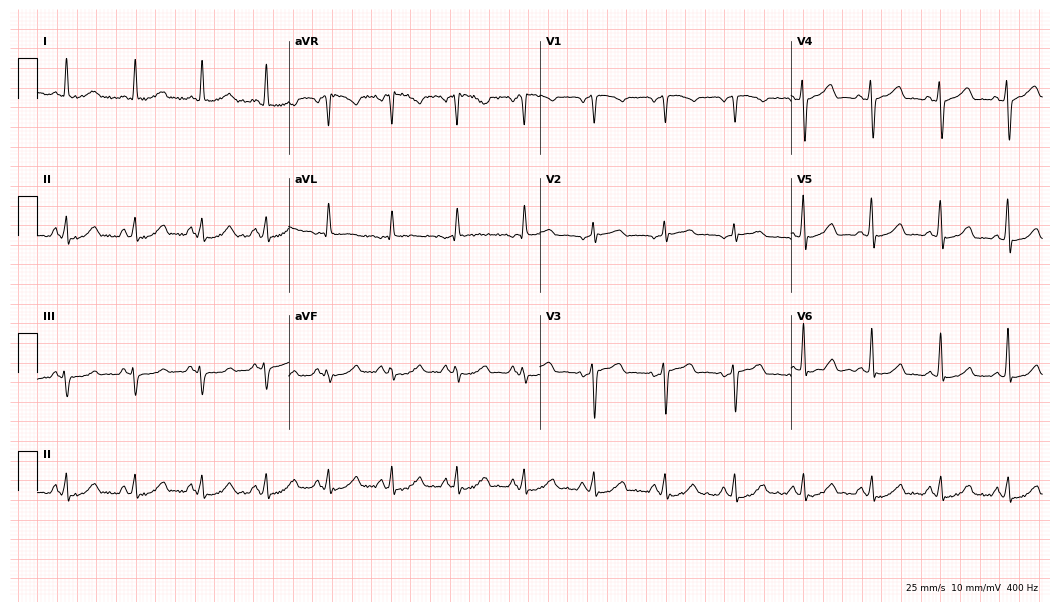
Standard 12-lead ECG recorded from a 48-year-old woman (10.2-second recording at 400 Hz). None of these six findings is recorded: first-degree AV block, right bundle branch block, left bundle branch block, sinus bradycardia, atrial fibrillation, sinus tachycardia.